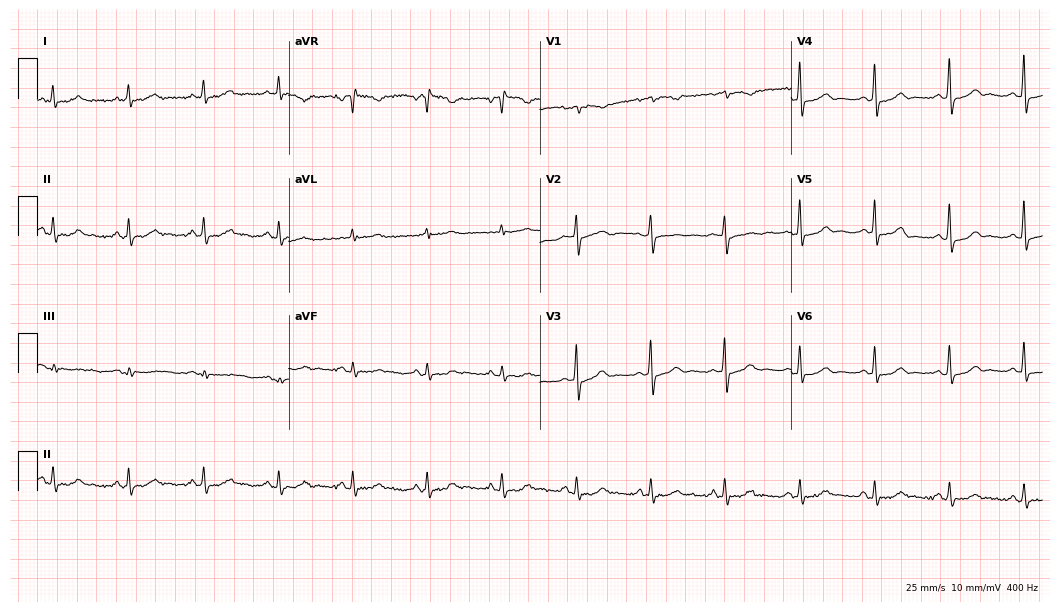
ECG (10.2-second recording at 400 Hz) — a 70-year-old woman. Labelled as a normal ECG.